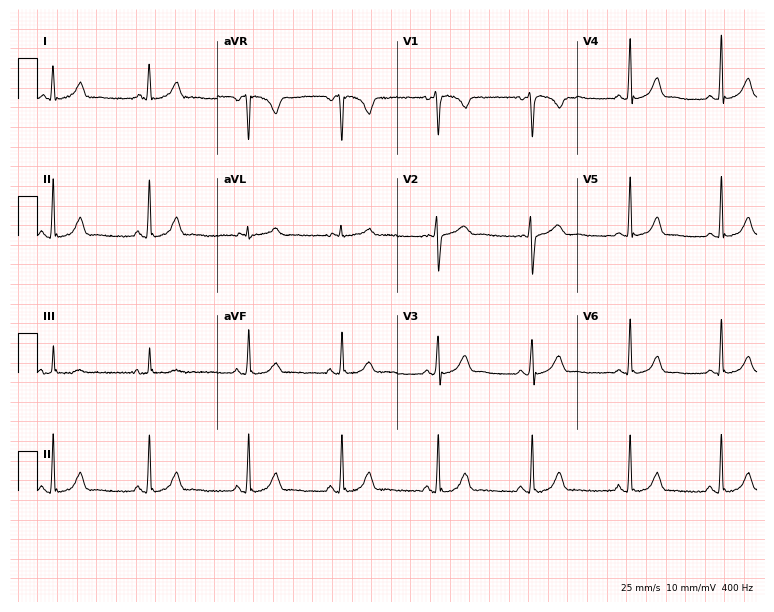
Resting 12-lead electrocardiogram. Patient: a 23-year-old female. None of these six findings is recorded: first-degree AV block, right bundle branch block, left bundle branch block, sinus bradycardia, atrial fibrillation, sinus tachycardia.